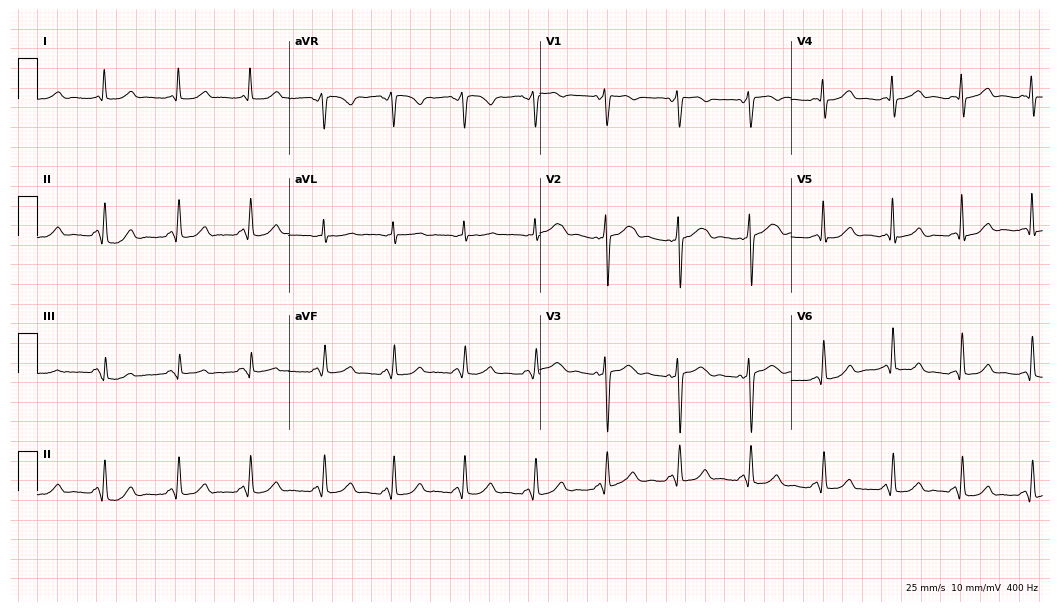
ECG (10.2-second recording at 400 Hz) — a 50-year-old female patient. Labelled as a normal ECG.